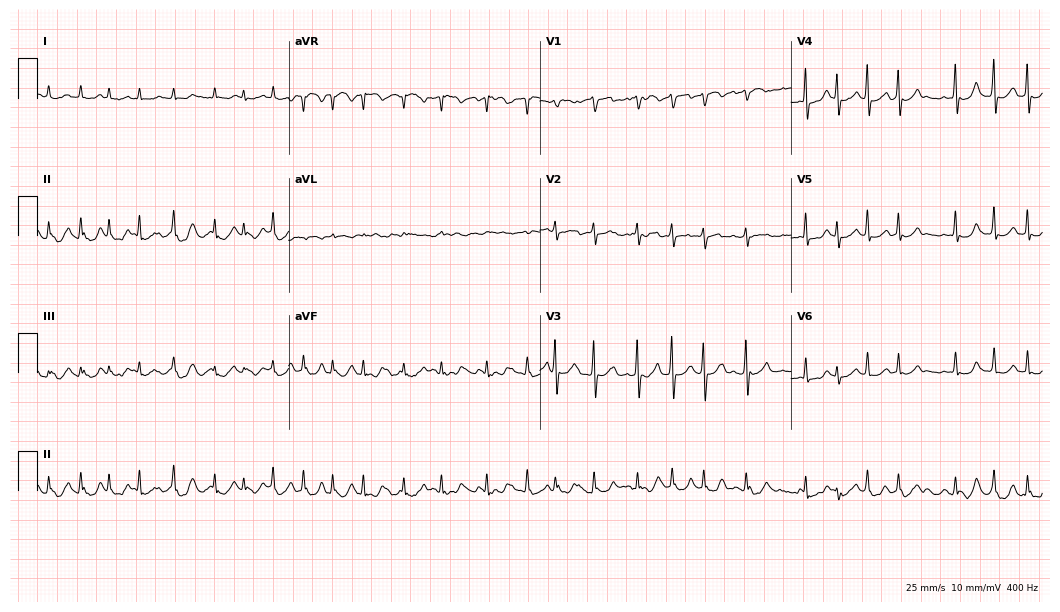
Standard 12-lead ECG recorded from a 72-year-old man (10.2-second recording at 400 Hz). The tracing shows atrial fibrillation (AF).